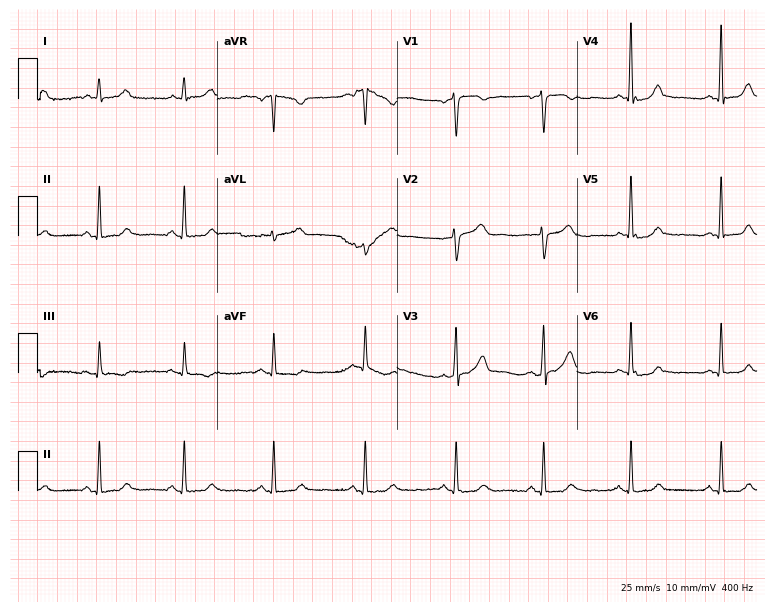
Standard 12-lead ECG recorded from a 45-year-old woman (7.3-second recording at 400 Hz). Read as a normal ECG.